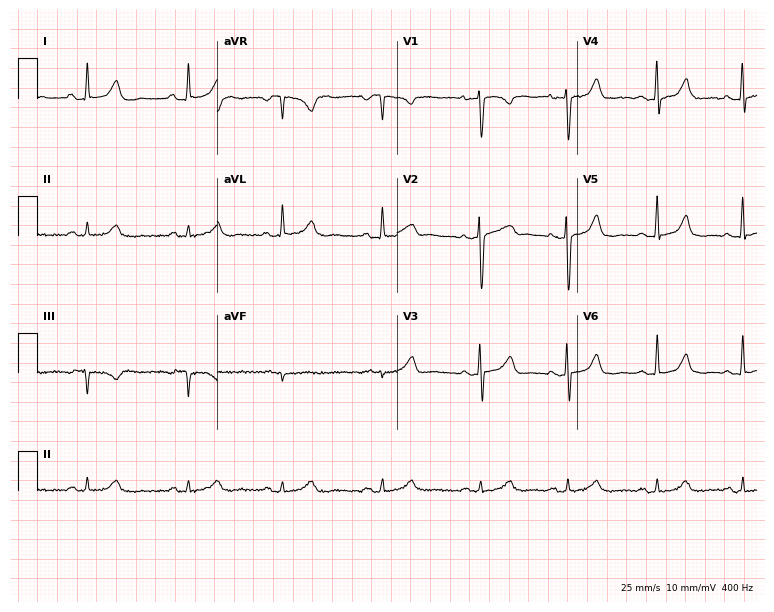
ECG (7.3-second recording at 400 Hz) — a 30-year-old woman. Screened for six findings — first-degree AV block, right bundle branch block (RBBB), left bundle branch block (LBBB), sinus bradycardia, atrial fibrillation (AF), sinus tachycardia — none is recorded. Other findings, if any, are not listed.